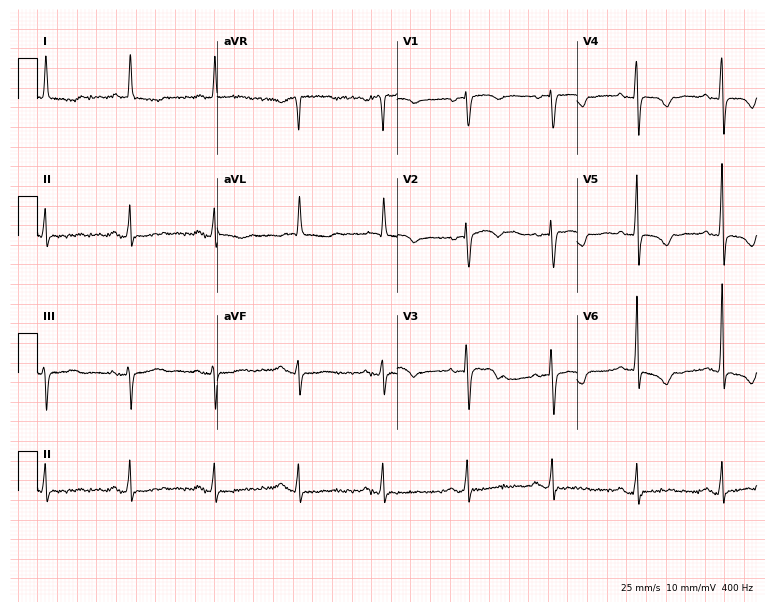
Electrocardiogram, a female, 76 years old. Of the six screened findings (first-degree AV block, right bundle branch block, left bundle branch block, sinus bradycardia, atrial fibrillation, sinus tachycardia), none is recorded.